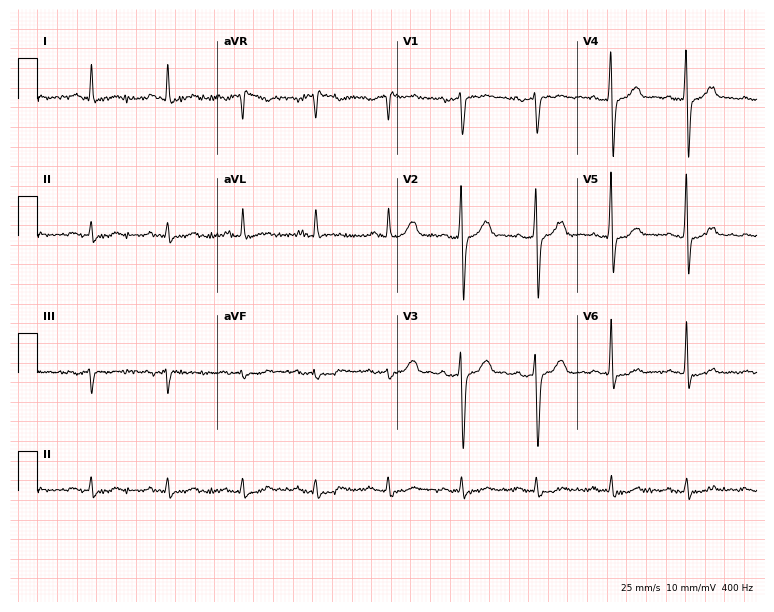
Standard 12-lead ECG recorded from a man, 68 years old. Read as a normal ECG.